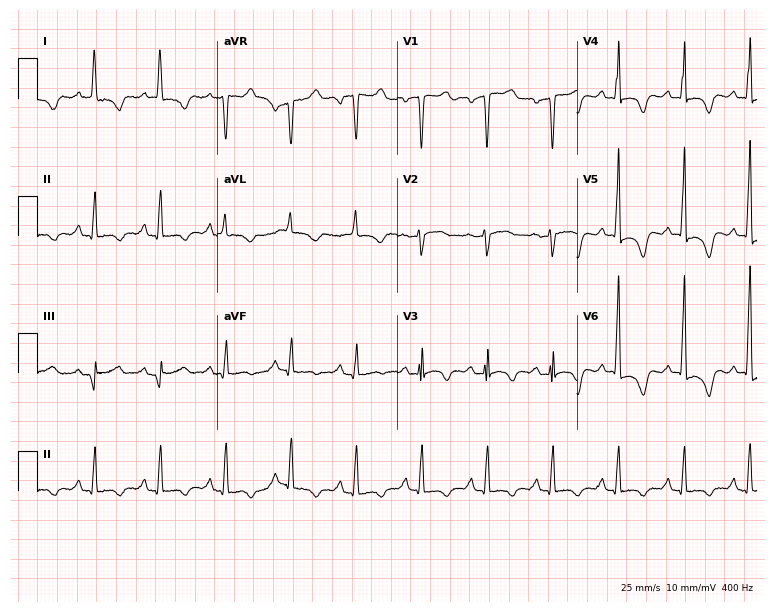
Electrocardiogram, a male, 69 years old. Overall reading on record: normal ECG.